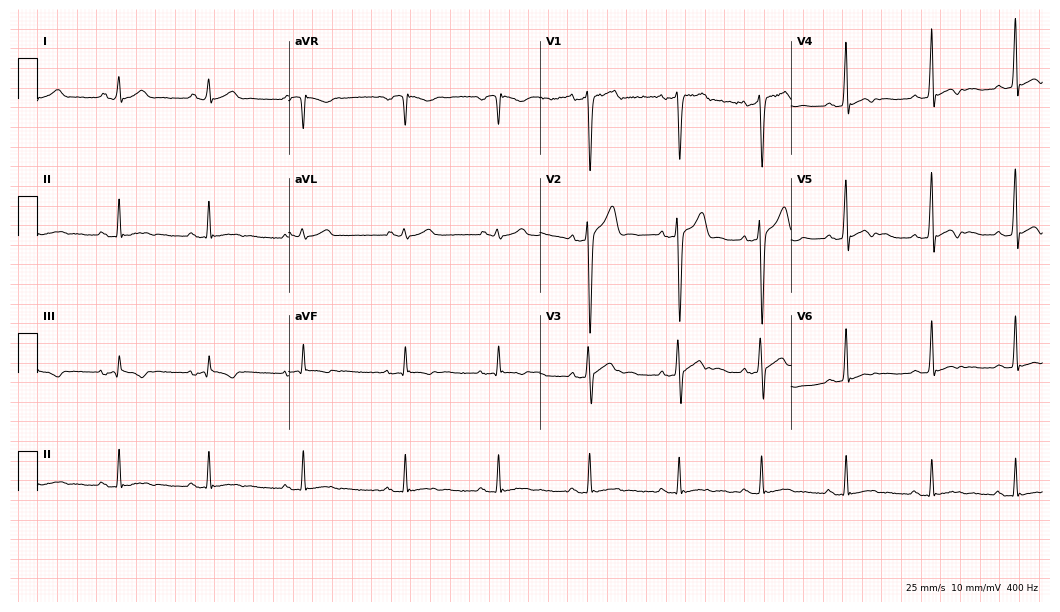
Electrocardiogram (10.2-second recording at 400 Hz), a man, 21 years old. Of the six screened findings (first-degree AV block, right bundle branch block (RBBB), left bundle branch block (LBBB), sinus bradycardia, atrial fibrillation (AF), sinus tachycardia), none is recorded.